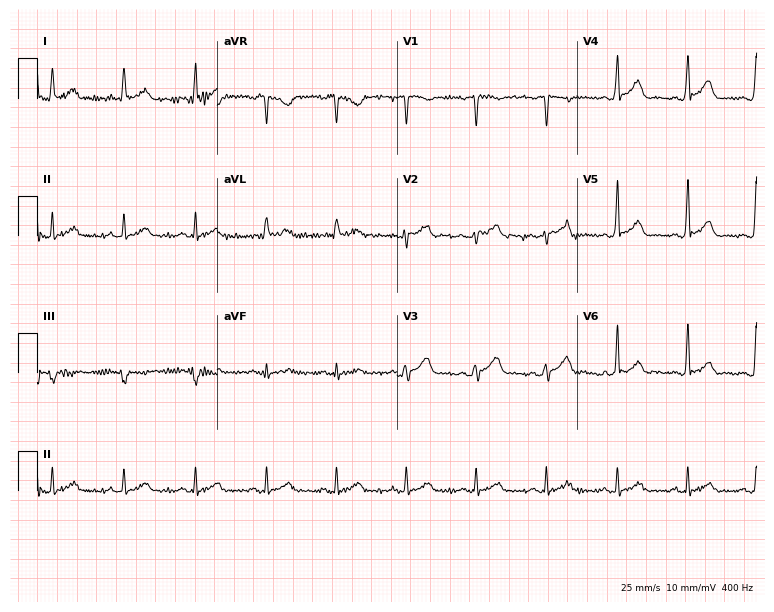
Electrocardiogram (7.3-second recording at 400 Hz), a male patient, 51 years old. Overall reading on record: normal ECG.